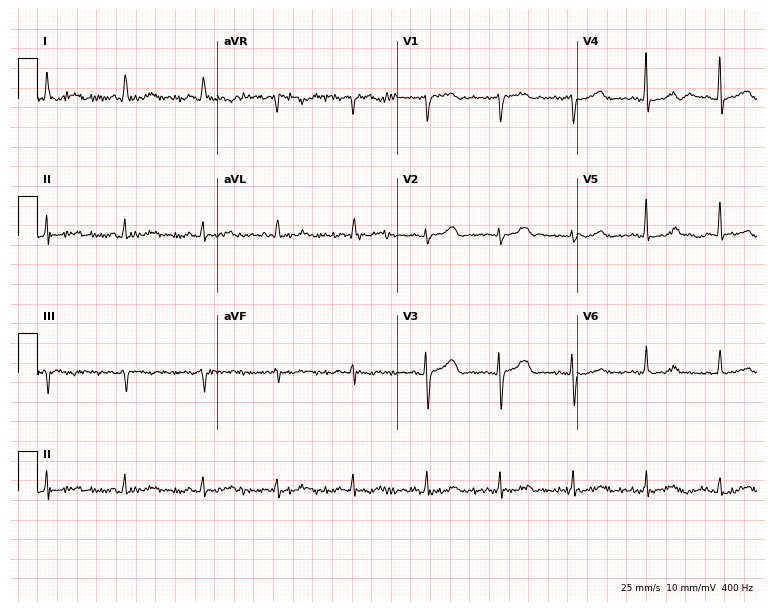
Electrocardiogram (7.3-second recording at 400 Hz), a 73-year-old female. Overall reading on record: normal ECG.